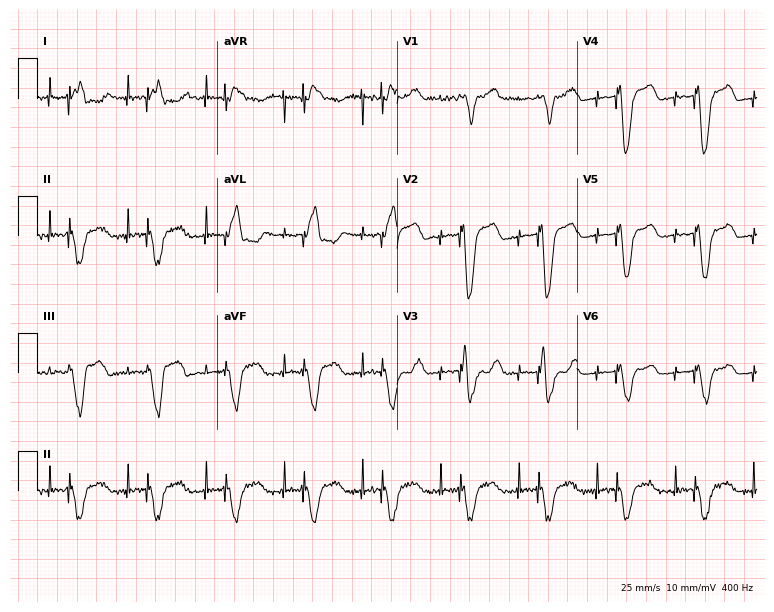
12-lead ECG from a 64-year-old male patient. No first-degree AV block, right bundle branch block, left bundle branch block, sinus bradycardia, atrial fibrillation or sinus tachycardia recorded for this tracing.